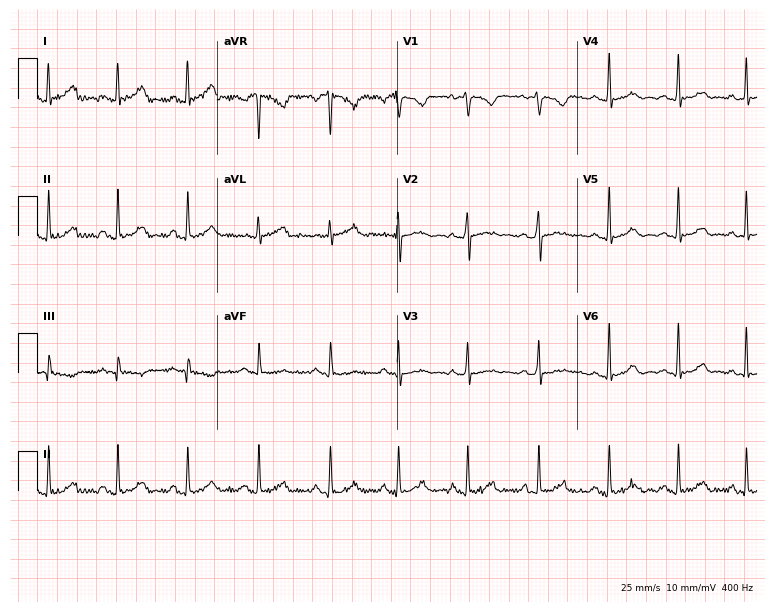
ECG (7.3-second recording at 400 Hz) — a 31-year-old female patient. Labelled as a normal ECG.